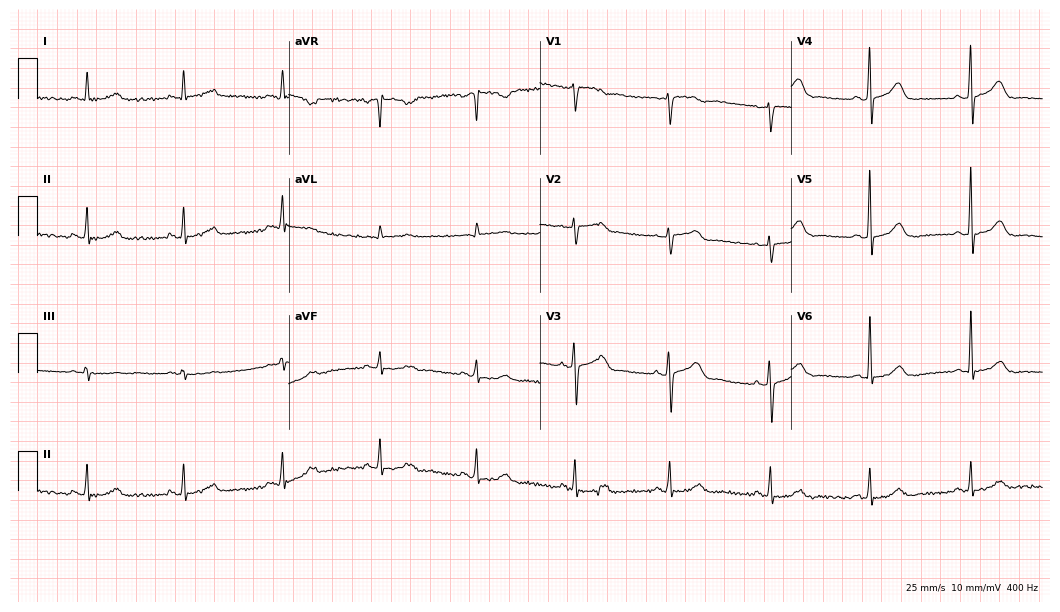
Electrocardiogram (10.2-second recording at 400 Hz), a 62-year-old female. Overall reading on record: normal ECG.